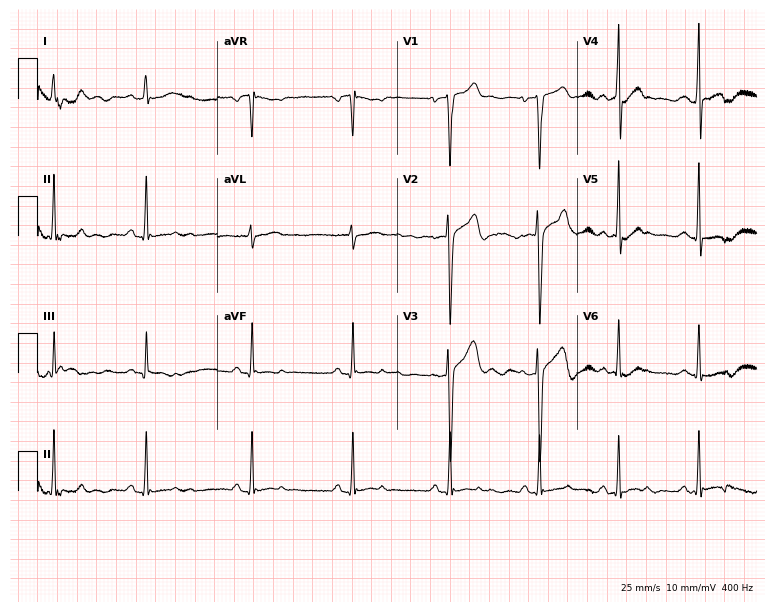
Electrocardiogram (7.3-second recording at 400 Hz), a male patient, 19 years old. Of the six screened findings (first-degree AV block, right bundle branch block (RBBB), left bundle branch block (LBBB), sinus bradycardia, atrial fibrillation (AF), sinus tachycardia), none is recorded. Only these six findings were labelled.